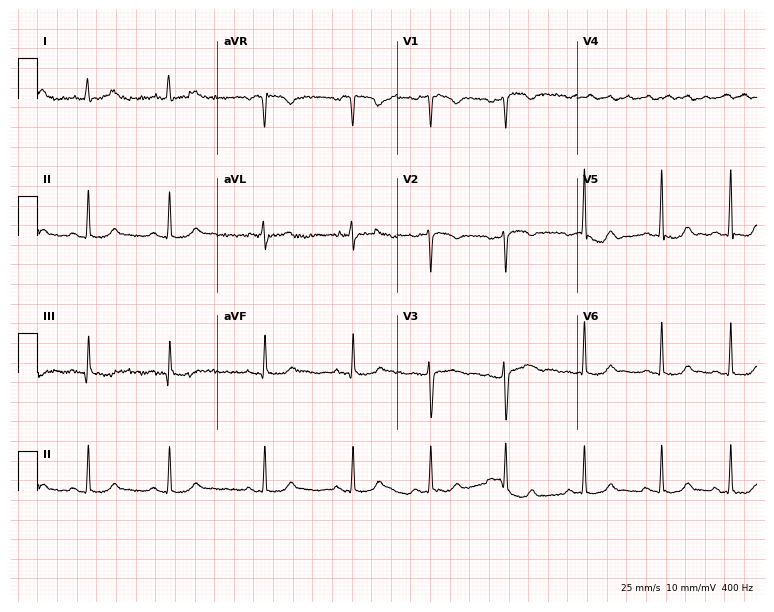
Standard 12-lead ECG recorded from a female, 24 years old (7.3-second recording at 400 Hz). None of these six findings is recorded: first-degree AV block, right bundle branch block, left bundle branch block, sinus bradycardia, atrial fibrillation, sinus tachycardia.